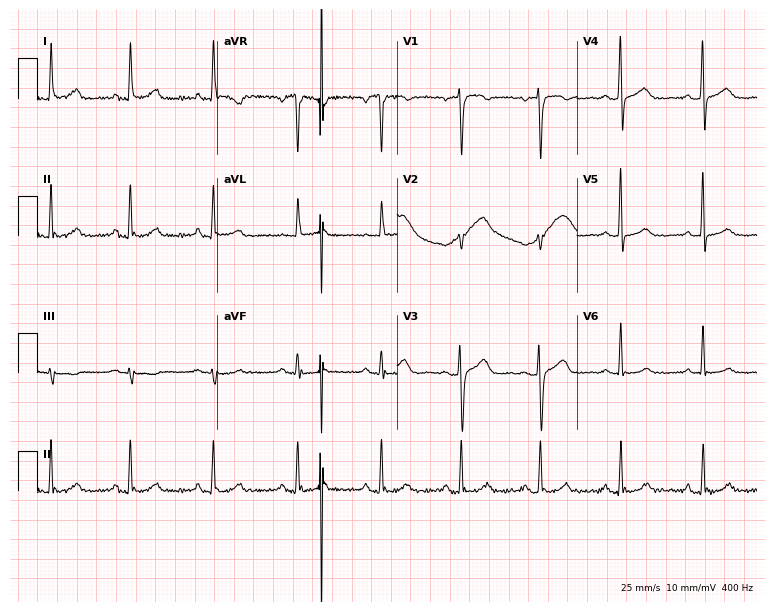
Standard 12-lead ECG recorded from a 55-year-old woman. Read as a normal ECG.